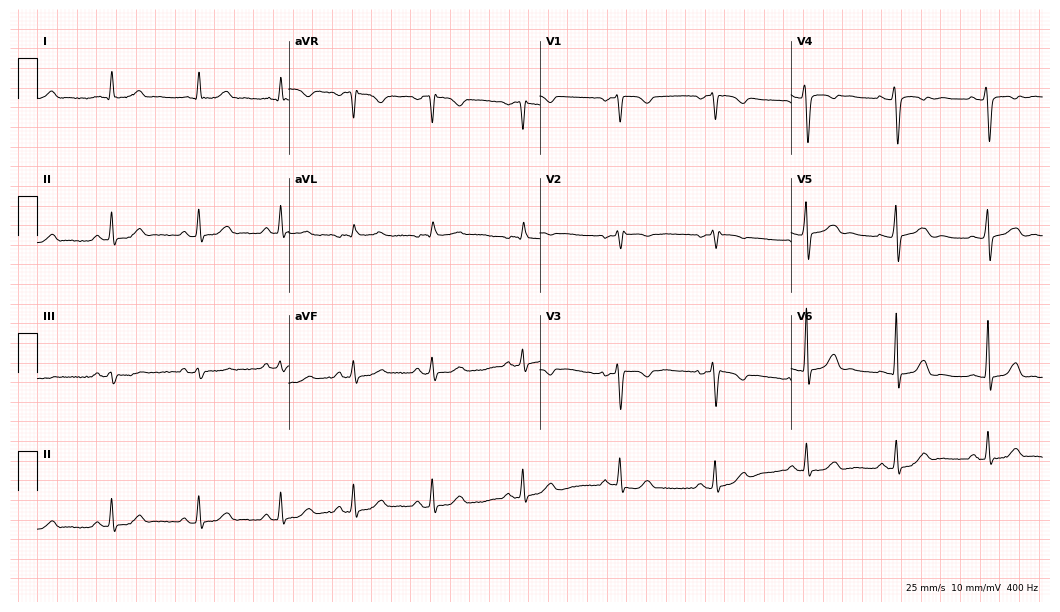
Standard 12-lead ECG recorded from a female patient, 35 years old (10.2-second recording at 400 Hz). None of these six findings is recorded: first-degree AV block, right bundle branch block, left bundle branch block, sinus bradycardia, atrial fibrillation, sinus tachycardia. Findings outside these six are not listed.